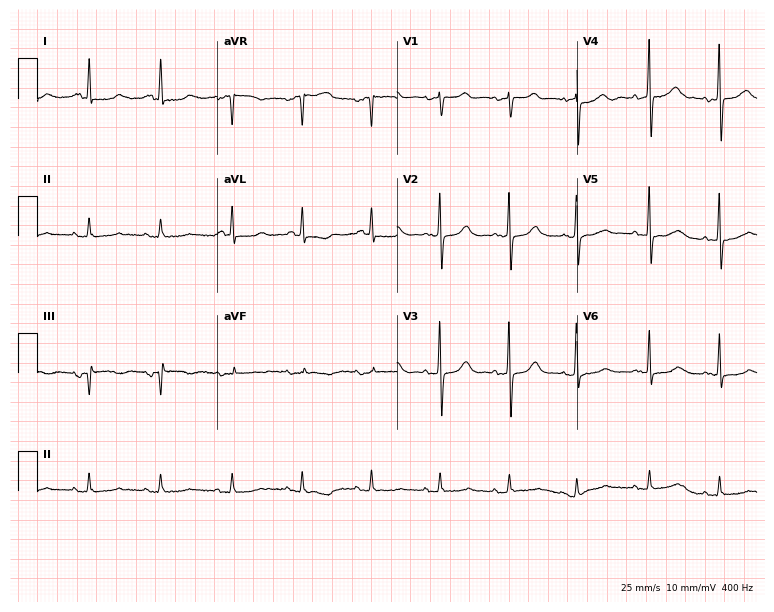
Standard 12-lead ECG recorded from a female, 75 years old (7.3-second recording at 400 Hz). None of these six findings is recorded: first-degree AV block, right bundle branch block, left bundle branch block, sinus bradycardia, atrial fibrillation, sinus tachycardia.